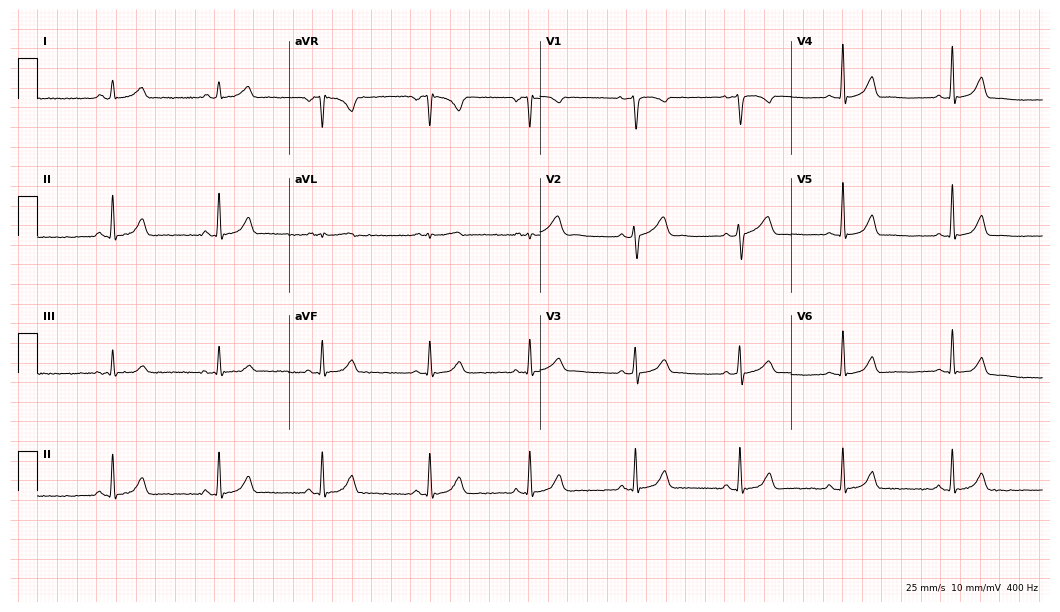
Standard 12-lead ECG recorded from a 31-year-old woman (10.2-second recording at 400 Hz). Read as a normal ECG.